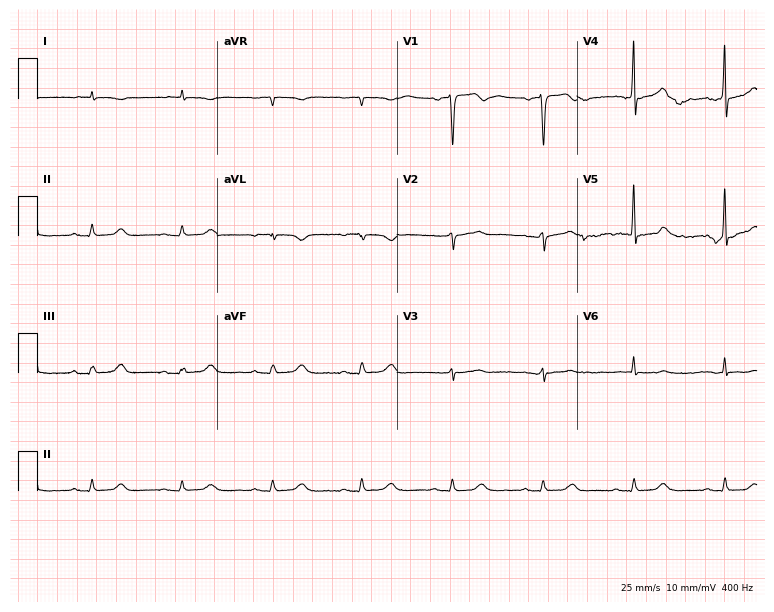
Standard 12-lead ECG recorded from a man, 79 years old (7.3-second recording at 400 Hz). None of these six findings is recorded: first-degree AV block, right bundle branch block, left bundle branch block, sinus bradycardia, atrial fibrillation, sinus tachycardia. Findings outside these six are not listed.